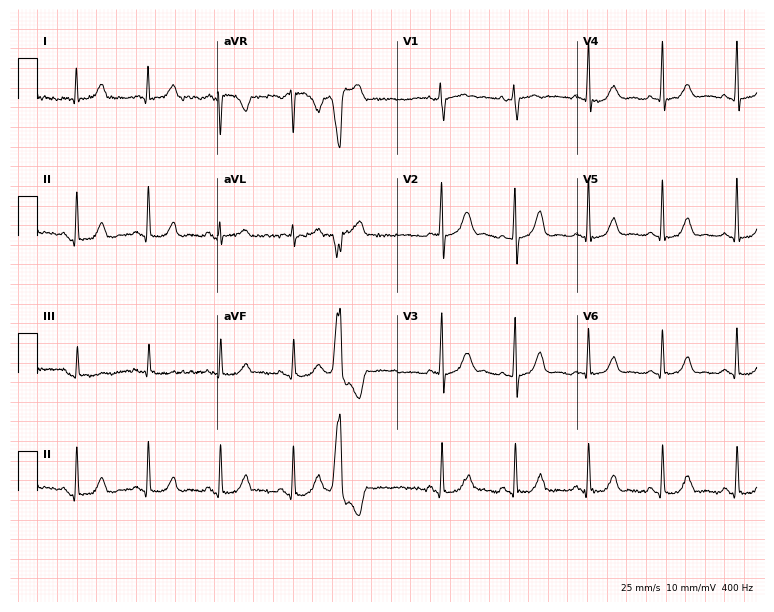
12-lead ECG (7.3-second recording at 400 Hz) from a 69-year-old female patient. Screened for six findings — first-degree AV block, right bundle branch block (RBBB), left bundle branch block (LBBB), sinus bradycardia, atrial fibrillation (AF), sinus tachycardia — none is recorded. Findings outside these six are not listed.